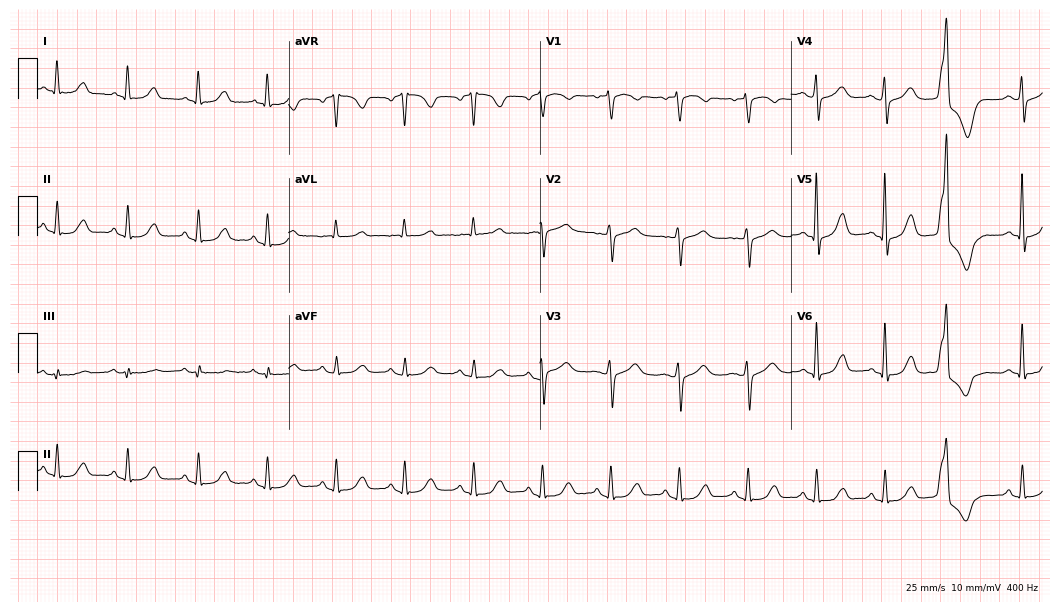
Electrocardiogram (10.2-second recording at 400 Hz), a woman, 63 years old. Overall reading on record: normal ECG.